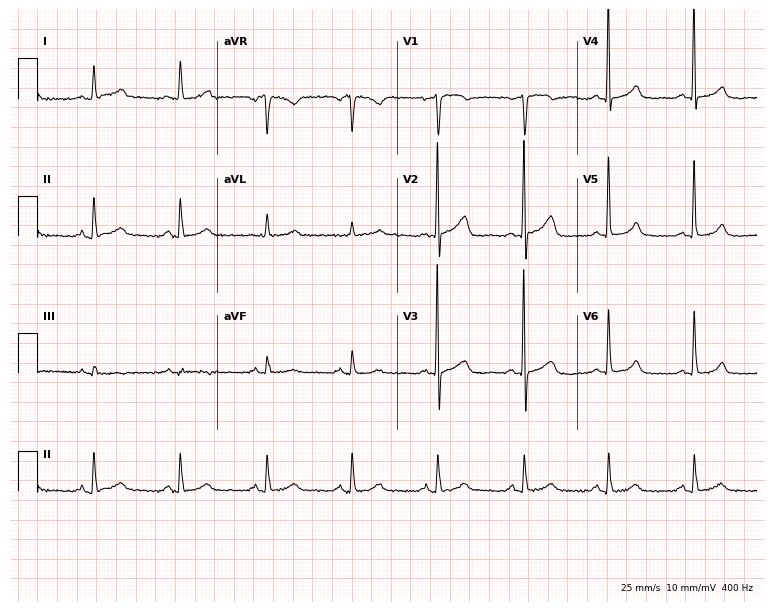
12-lead ECG (7.3-second recording at 400 Hz) from a female, 83 years old. Screened for six findings — first-degree AV block, right bundle branch block (RBBB), left bundle branch block (LBBB), sinus bradycardia, atrial fibrillation (AF), sinus tachycardia — none is recorded.